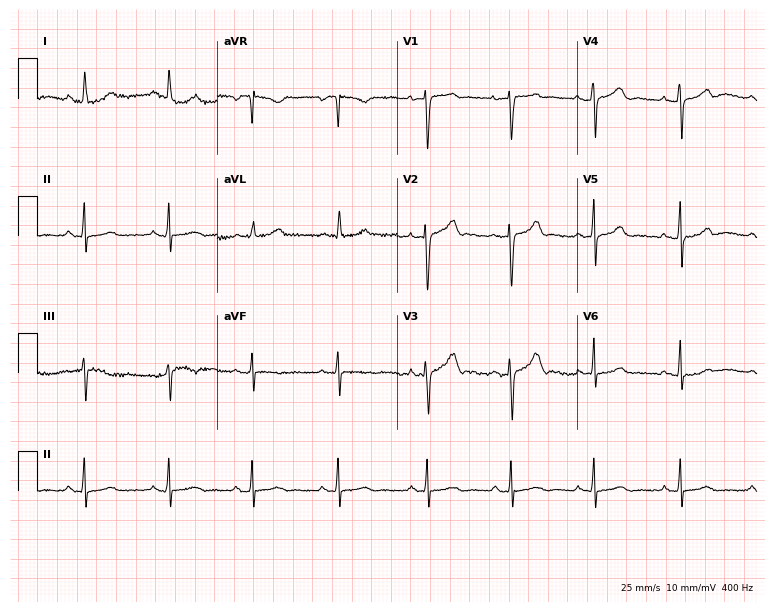
ECG — a 44-year-old female patient. Screened for six findings — first-degree AV block, right bundle branch block, left bundle branch block, sinus bradycardia, atrial fibrillation, sinus tachycardia — none is recorded. Other findings, if any, are not listed.